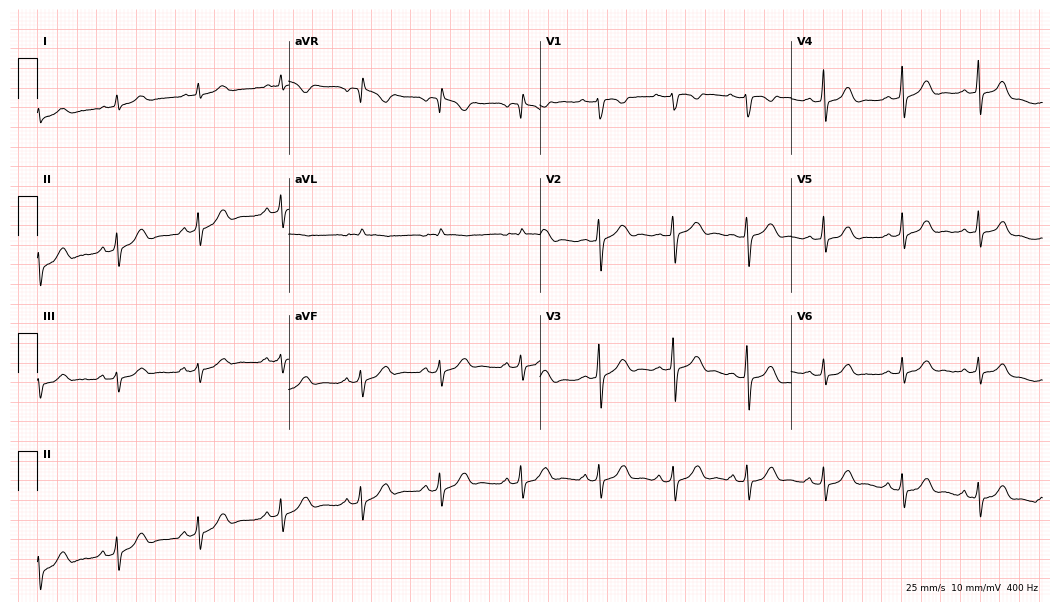
12-lead ECG (10.2-second recording at 400 Hz) from a 31-year-old female patient. Screened for six findings — first-degree AV block, right bundle branch block (RBBB), left bundle branch block (LBBB), sinus bradycardia, atrial fibrillation (AF), sinus tachycardia — none is recorded. Findings outside these six are not listed.